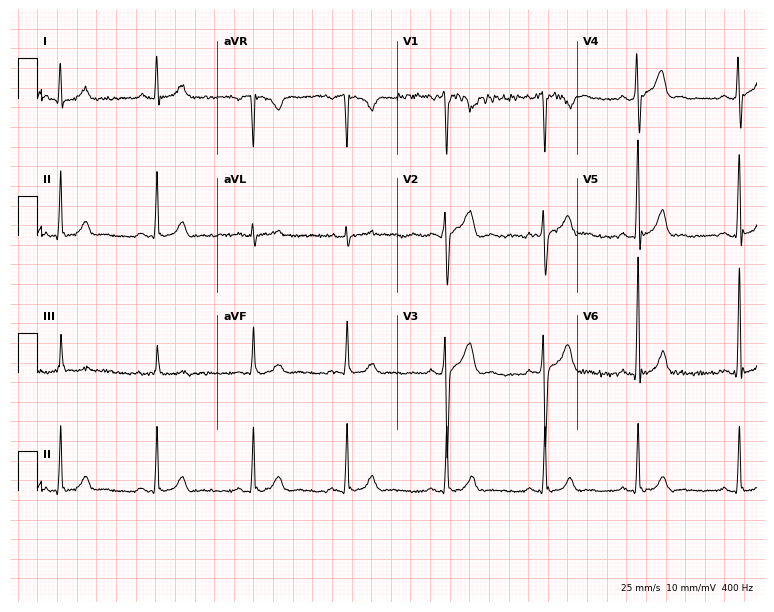
ECG (7.3-second recording at 400 Hz) — a 24-year-old male patient. Labelled as a normal ECG.